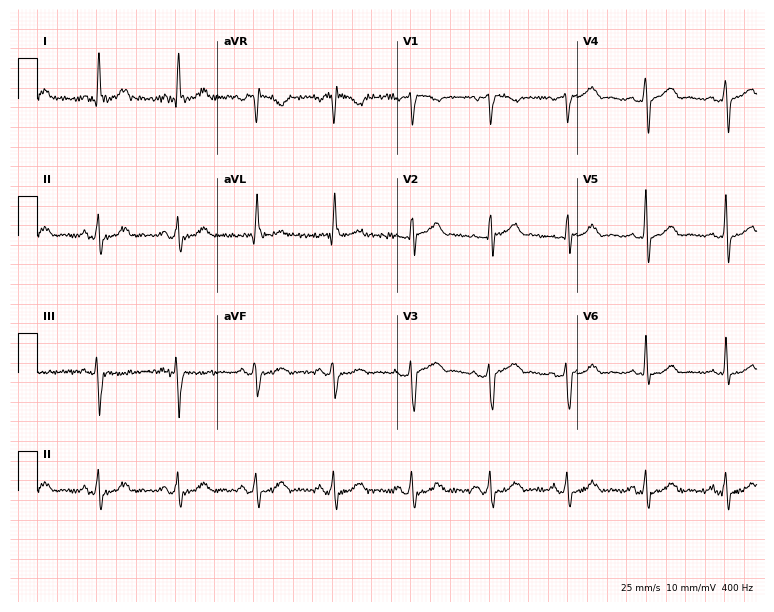
12-lead ECG from a 53-year-old female patient (7.3-second recording at 400 Hz). Recorded interpretation: within normal limits.